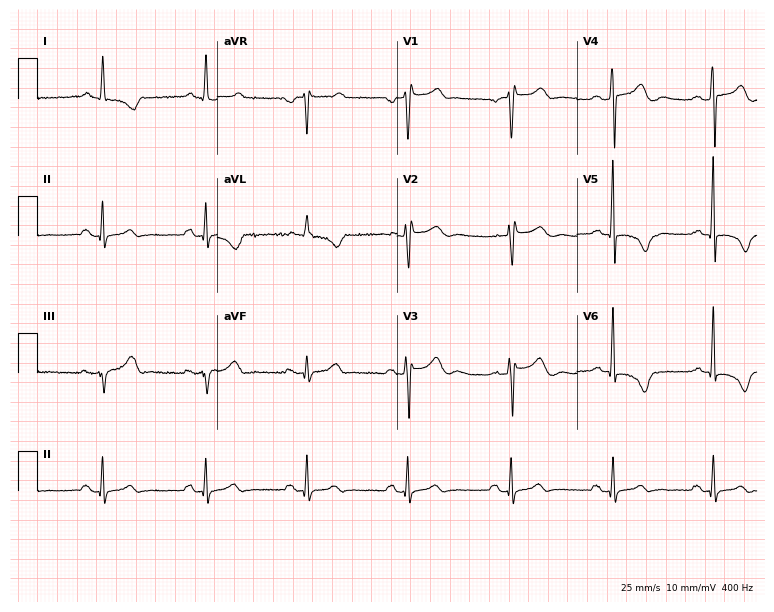
Resting 12-lead electrocardiogram. Patient: a man, 71 years old. None of these six findings is recorded: first-degree AV block, right bundle branch block (RBBB), left bundle branch block (LBBB), sinus bradycardia, atrial fibrillation (AF), sinus tachycardia. Findings outside these six are not listed.